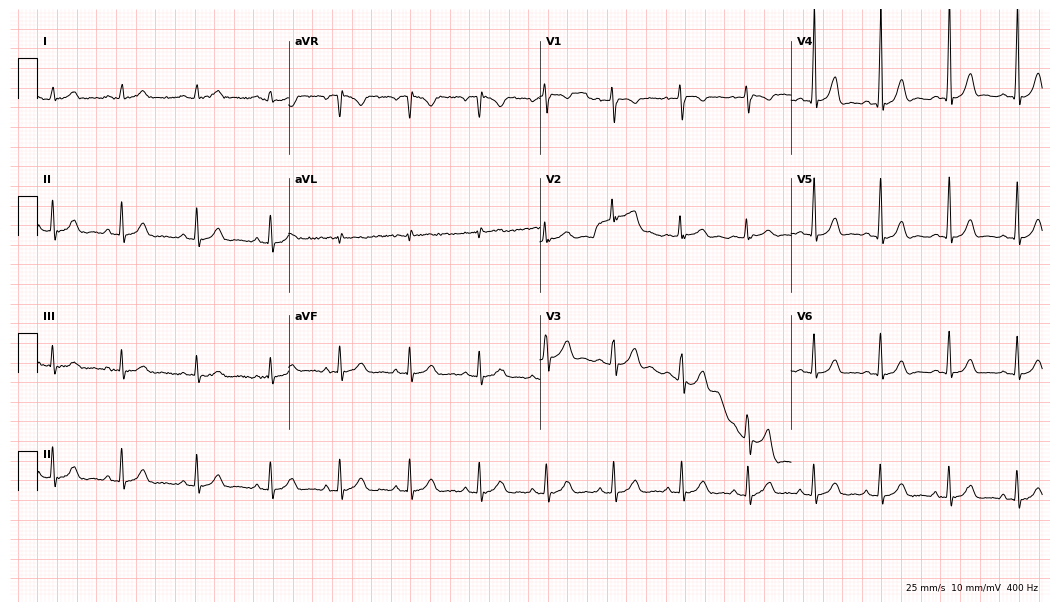
Resting 12-lead electrocardiogram (10.2-second recording at 400 Hz). Patient: a 25-year-old female. None of these six findings is recorded: first-degree AV block, right bundle branch block, left bundle branch block, sinus bradycardia, atrial fibrillation, sinus tachycardia.